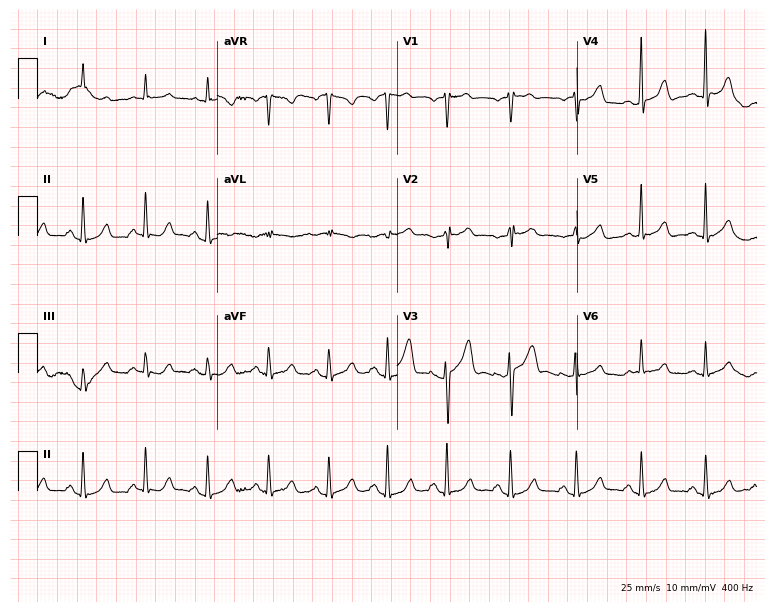
Electrocardiogram (7.3-second recording at 400 Hz), a woman, 57 years old. Overall reading on record: normal ECG.